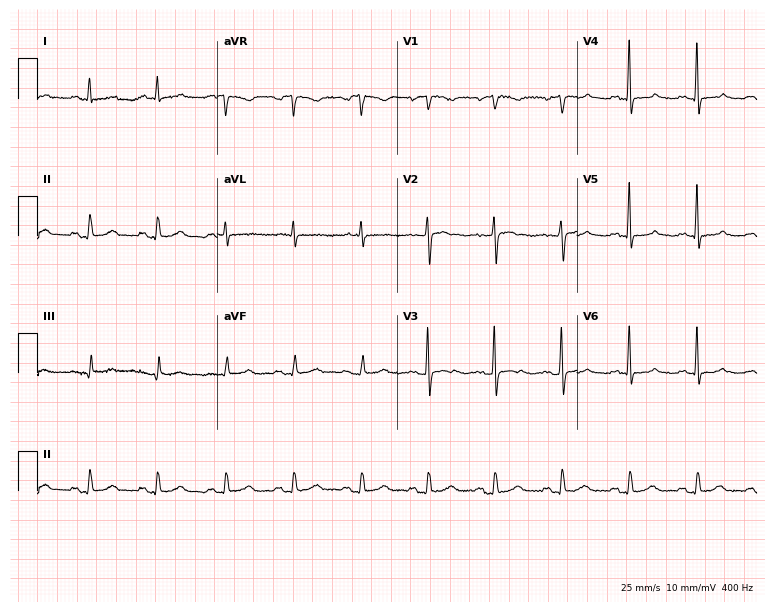
Electrocardiogram (7.3-second recording at 400 Hz), a female, 78 years old. Of the six screened findings (first-degree AV block, right bundle branch block, left bundle branch block, sinus bradycardia, atrial fibrillation, sinus tachycardia), none is recorded. Findings outside these six are not listed.